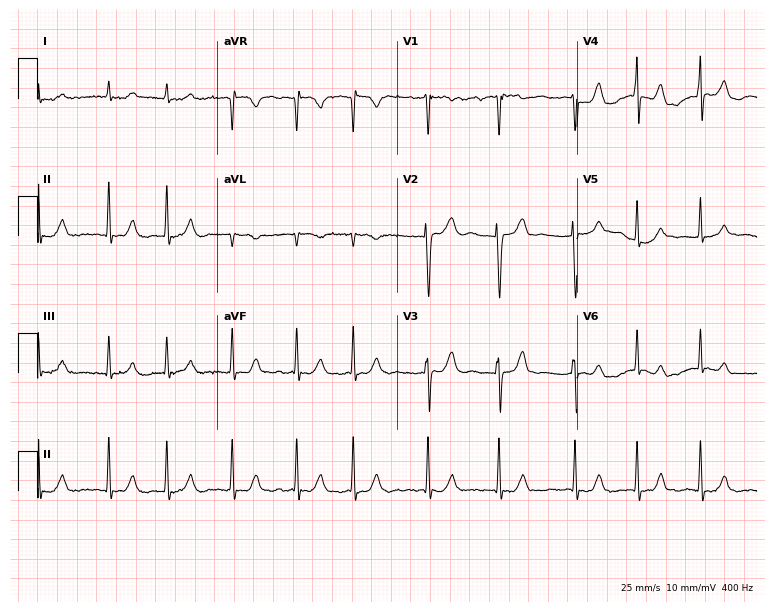
12-lead ECG from a male patient, 82 years old (7.3-second recording at 400 Hz). Shows atrial fibrillation.